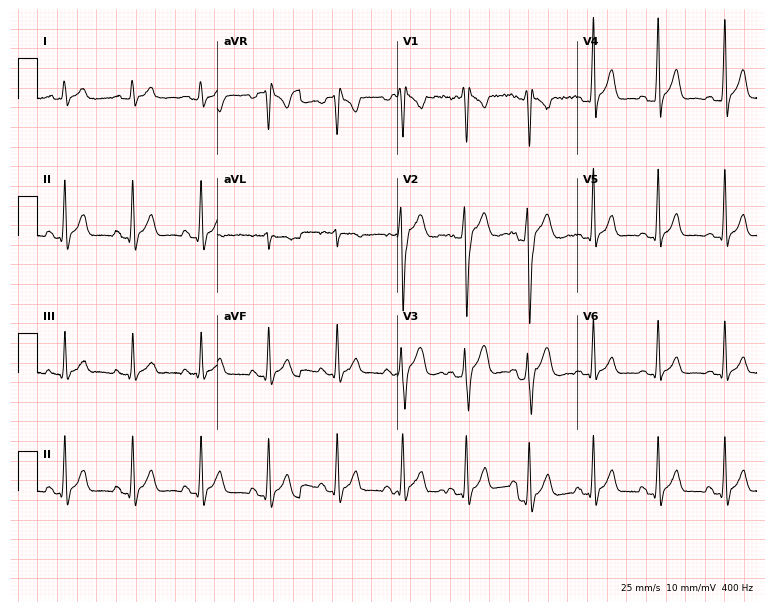
Resting 12-lead electrocardiogram. Patient: a male, 18 years old. None of these six findings is recorded: first-degree AV block, right bundle branch block, left bundle branch block, sinus bradycardia, atrial fibrillation, sinus tachycardia.